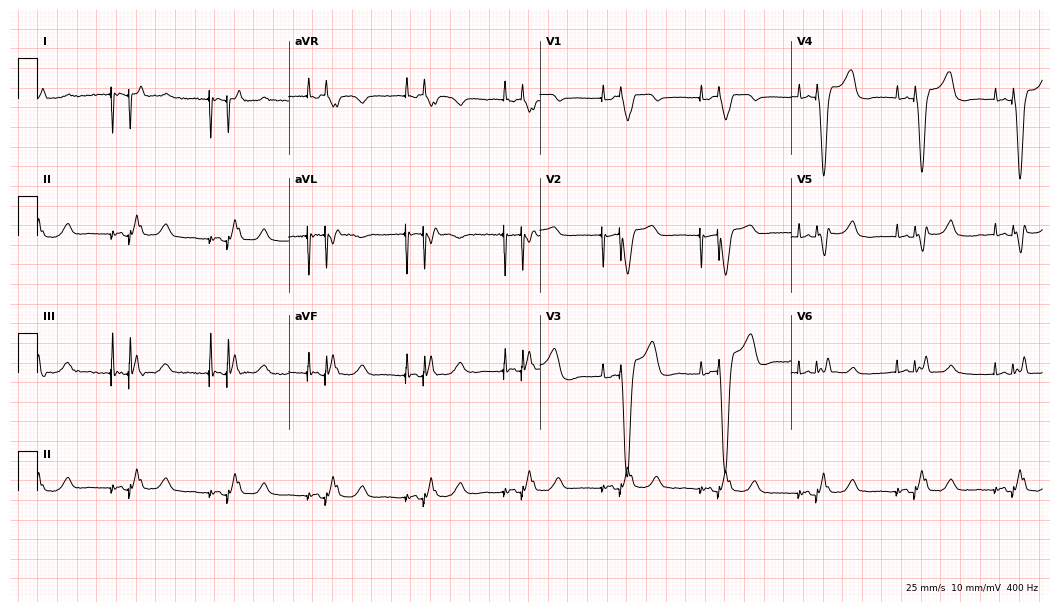
ECG (10.2-second recording at 400 Hz) — a 51-year-old female. Screened for six findings — first-degree AV block, right bundle branch block (RBBB), left bundle branch block (LBBB), sinus bradycardia, atrial fibrillation (AF), sinus tachycardia — none is recorded. Only these six findings were labelled.